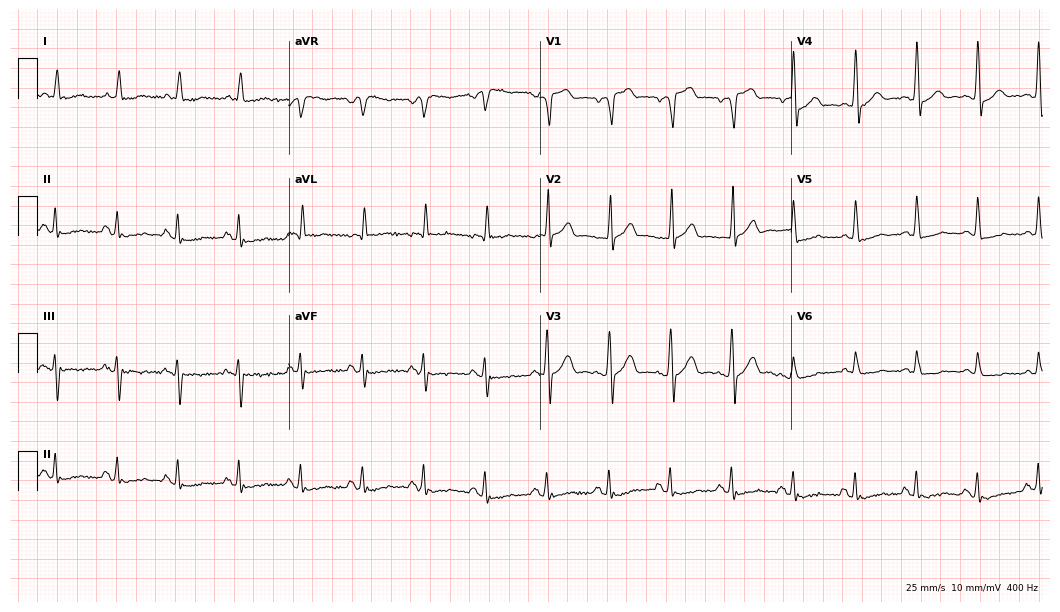
Electrocardiogram (10.2-second recording at 400 Hz), a man, 74 years old. Of the six screened findings (first-degree AV block, right bundle branch block, left bundle branch block, sinus bradycardia, atrial fibrillation, sinus tachycardia), none is recorded.